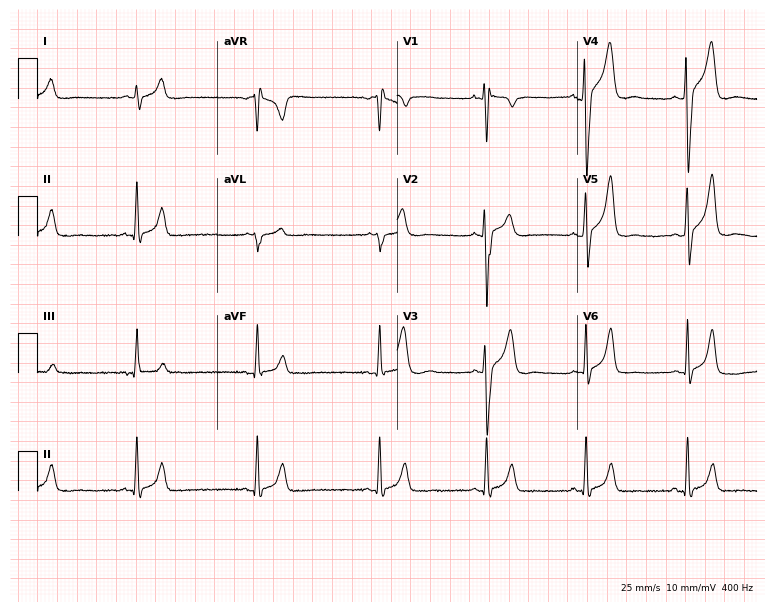
12-lead ECG from a male, 18 years old. Recorded interpretation: within normal limits.